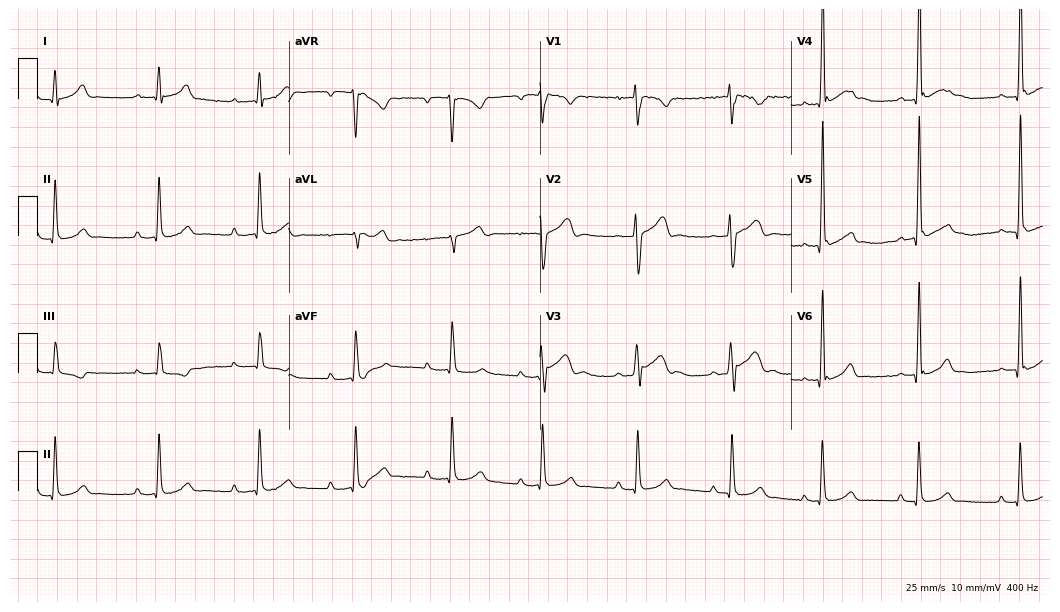
12-lead ECG from a male, 18 years old (10.2-second recording at 400 Hz). Shows first-degree AV block.